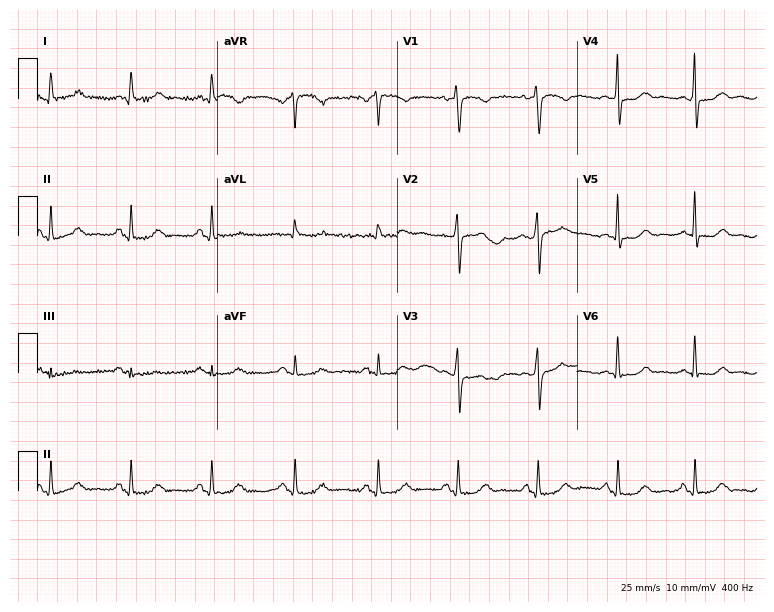
Resting 12-lead electrocardiogram (7.3-second recording at 400 Hz). Patient: a woman, 44 years old. Read as a normal ECG.